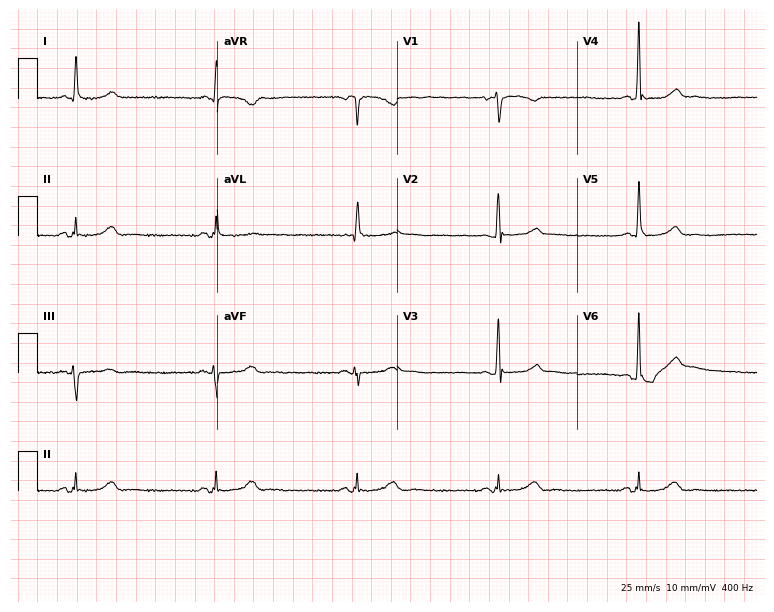
12-lead ECG (7.3-second recording at 400 Hz) from a 62-year-old female patient. Findings include sinus bradycardia (a sinus rate of 50 beats per minute or less).